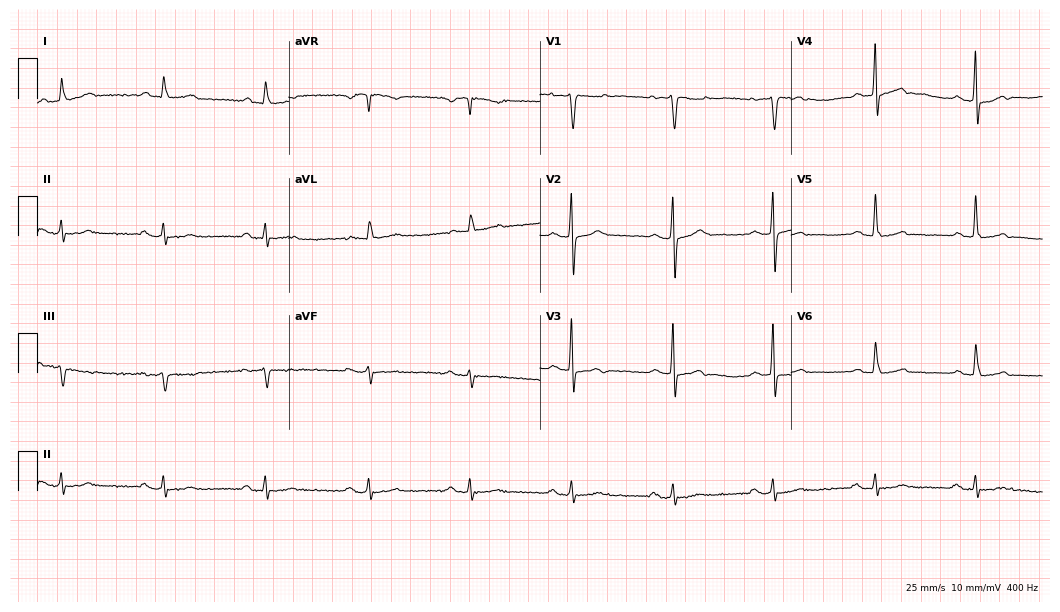
Standard 12-lead ECG recorded from a man, 58 years old (10.2-second recording at 400 Hz). Read as a normal ECG.